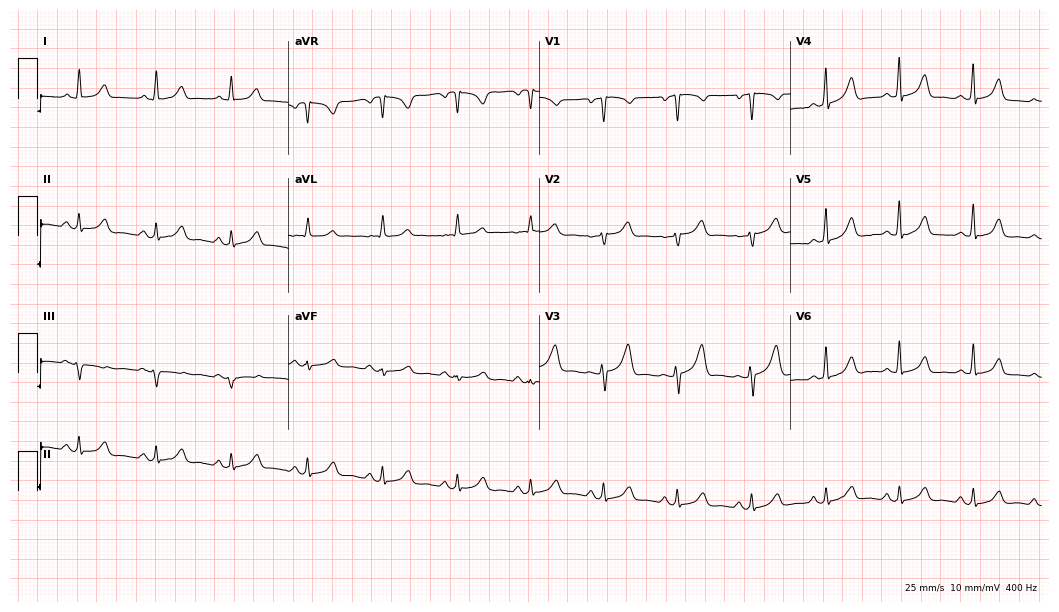
ECG — a female patient, 48 years old. Labelled as a normal ECG.